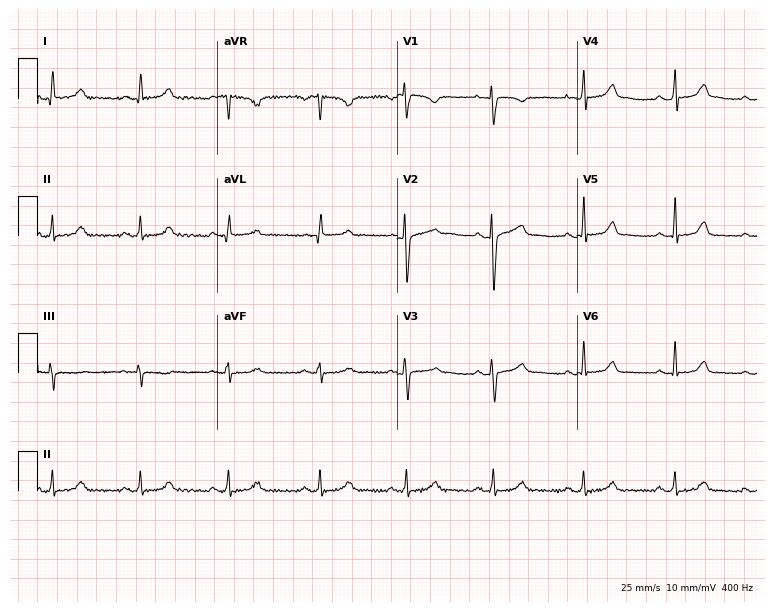
Electrocardiogram, a 28-year-old woman. Overall reading on record: normal ECG.